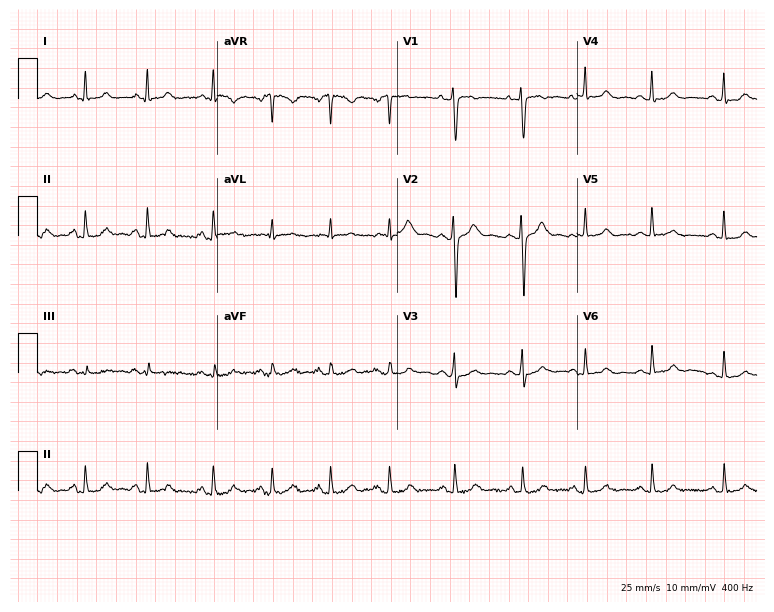
12-lead ECG from a female, 19 years old (7.3-second recording at 400 Hz). No first-degree AV block, right bundle branch block, left bundle branch block, sinus bradycardia, atrial fibrillation or sinus tachycardia recorded for this tracing.